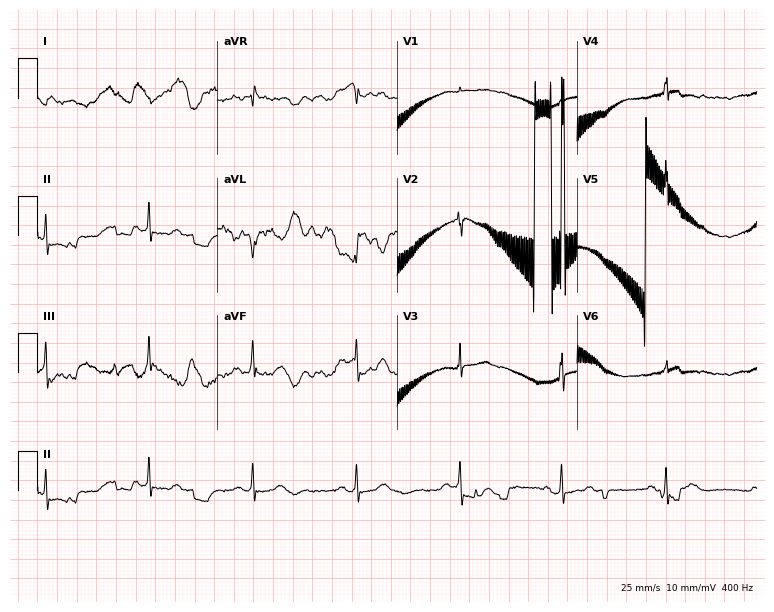
Electrocardiogram, a male, 82 years old. Of the six screened findings (first-degree AV block, right bundle branch block, left bundle branch block, sinus bradycardia, atrial fibrillation, sinus tachycardia), none is recorded. Other findings, if any, are not listed.